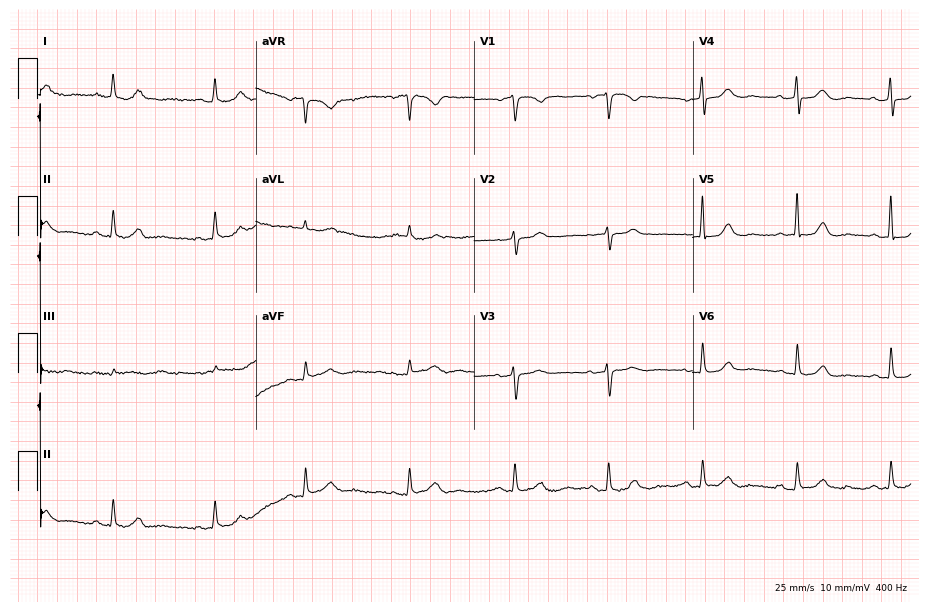
ECG (8.9-second recording at 400 Hz) — a woman, 73 years old. Screened for six findings — first-degree AV block, right bundle branch block, left bundle branch block, sinus bradycardia, atrial fibrillation, sinus tachycardia — none is recorded.